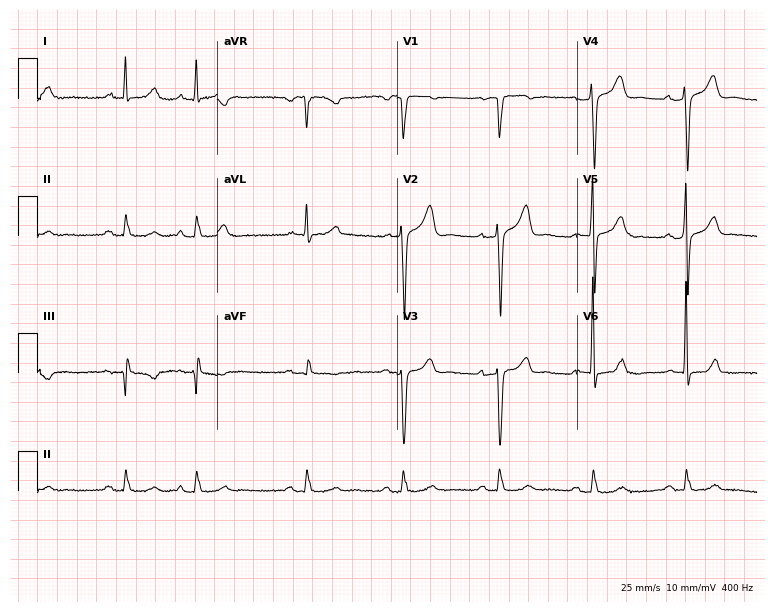
Resting 12-lead electrocardiogram. Patient: a 62-year-old male. Read as a normal ECG.